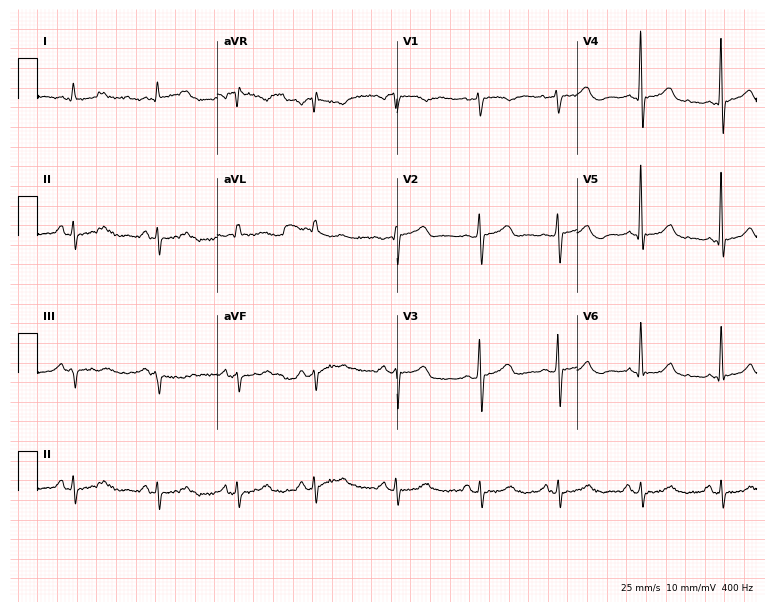
Standard 12-lead ECG recorded from a man, 63 years old. None of these six findings is recorded: first-degree AV block, right bundle branch block, left bundle branch block, sinus bradycardia, atrial fibrillation, sinus tachycardia.